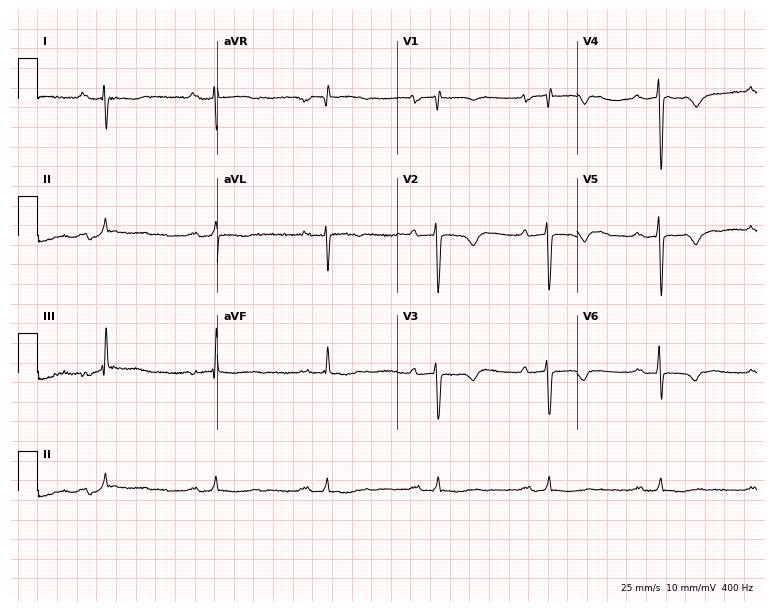
Electrocardiogram, a woman, 72 years old. Of the six screened findings (first-degree AV block, right bundle branch block, left bundle branch block, sinus bradycardia, atrial fibrillation, sinus tachycardia), none is recorded.